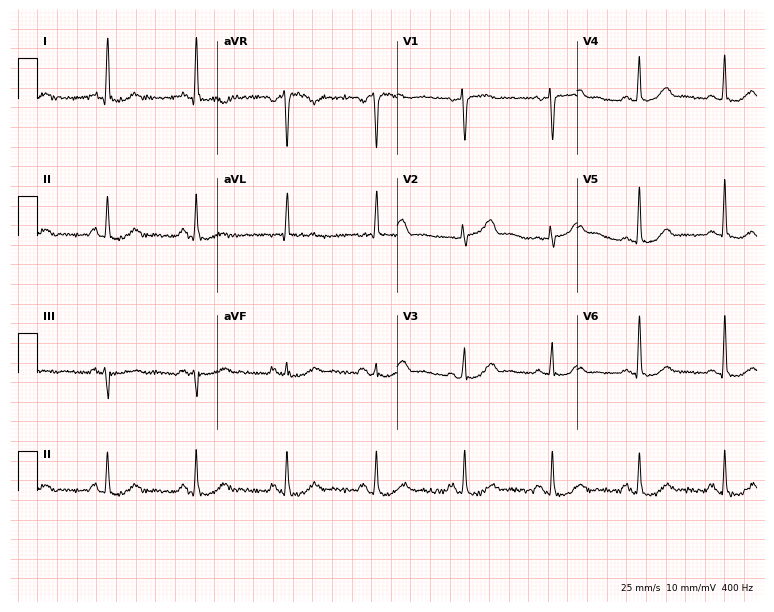
Resting 12-lead electrocardiogram. Patient: a female, 58 years old. None of these six findings is recorded: first-degree AV block, right bundle branch block, left bundle branch block, sinus bradycardia, atrial fibrillation, sinus tachycardia. Other findings, if any, are not listed.